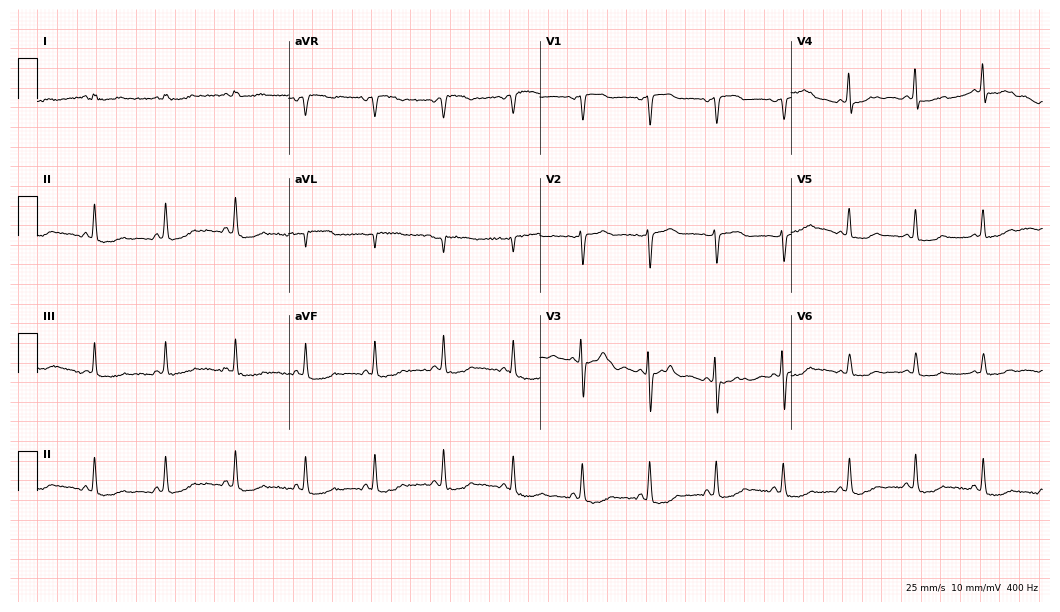
Electrocardiogram (10.2-second recording at 400 Hz), a 64-year-old female. Of the six screened findings (first-degree AV block, right bundle branch block, left bundle branch block, sinus bradycardia, atrial fibrillation, sinus tachycardia), none is recorded. Findings outside these six are not listed.